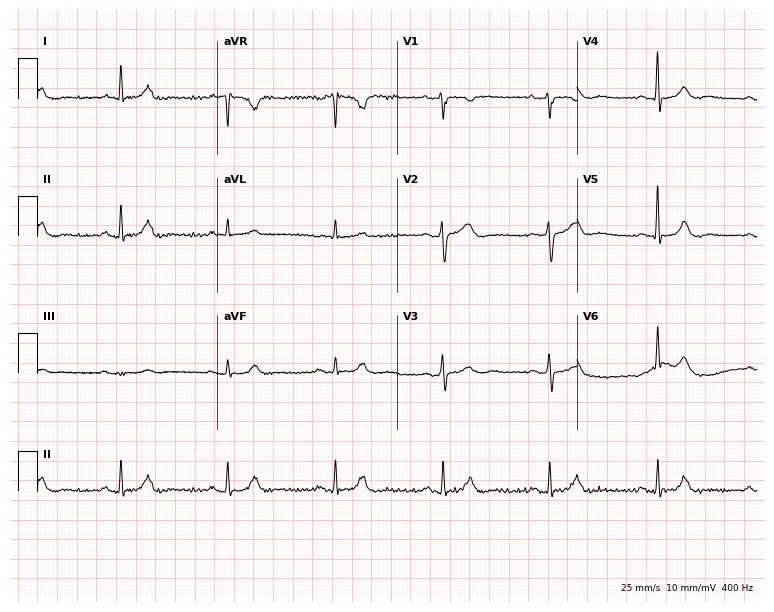
12-lead ECG from a 77-year-old man (7.3-second recording at 400 Hz). Recorded interpretation: within normal limits.